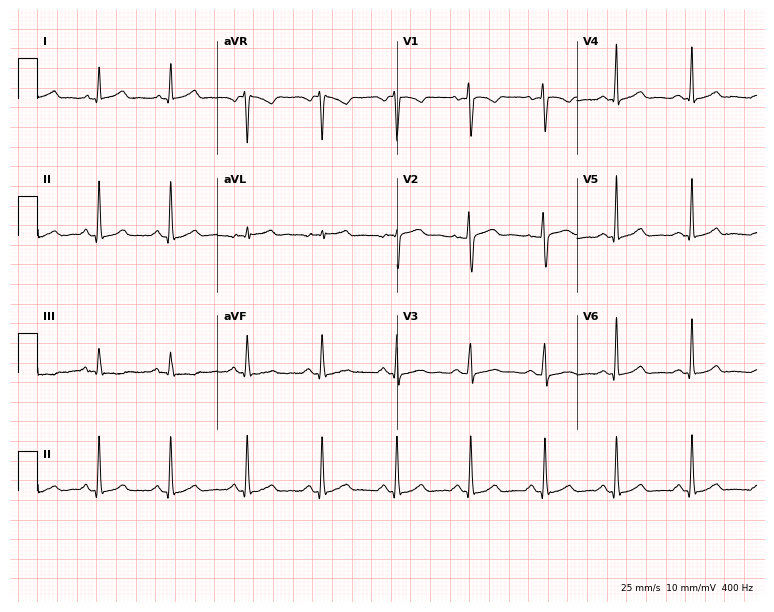
Electrocardiogram, a 38-year-old female. Overall reading on record: normal ECG.